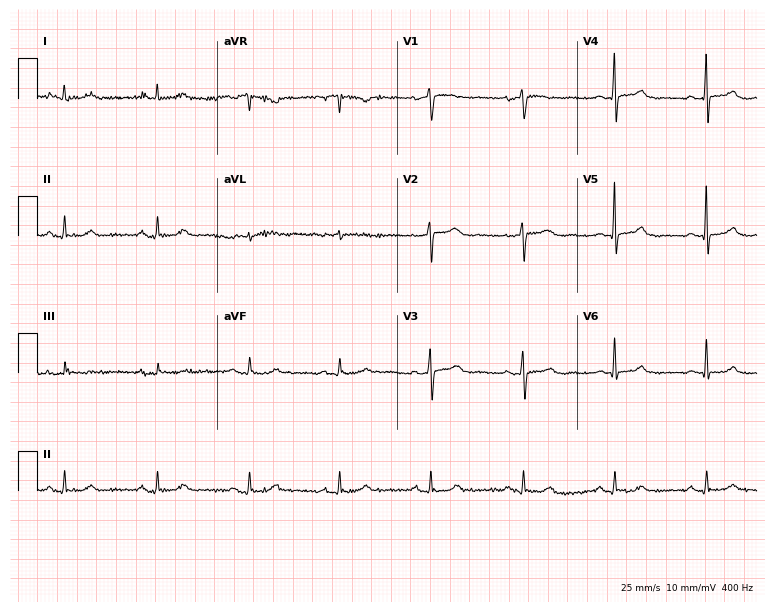
12-lead ECG from a woman, 76 years old. Labelled as a normal ECG.